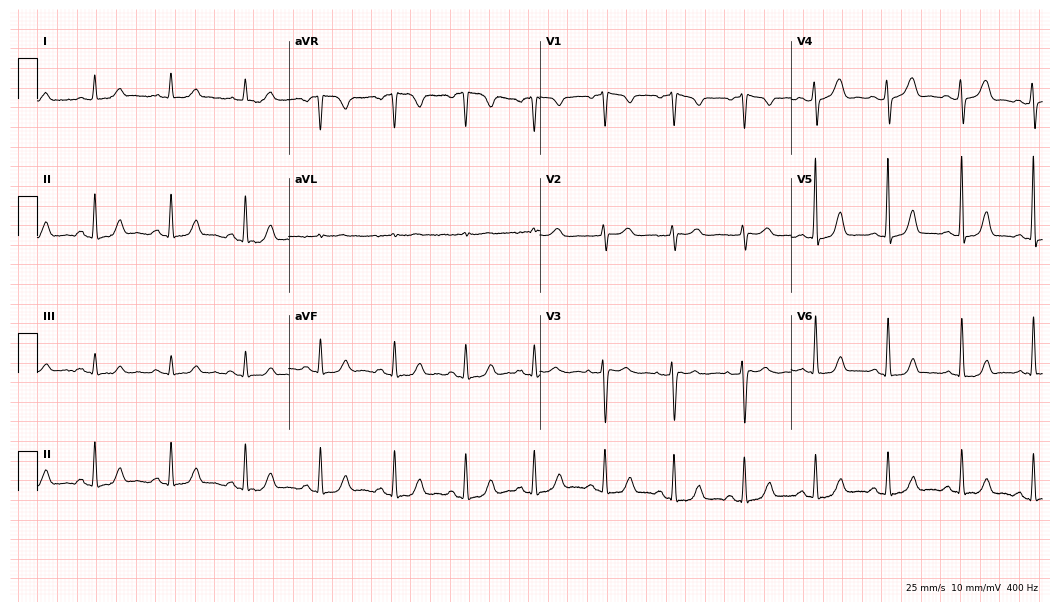
12-lead ECG from a 57-year-old female patient. Labelled as a normal ECG.